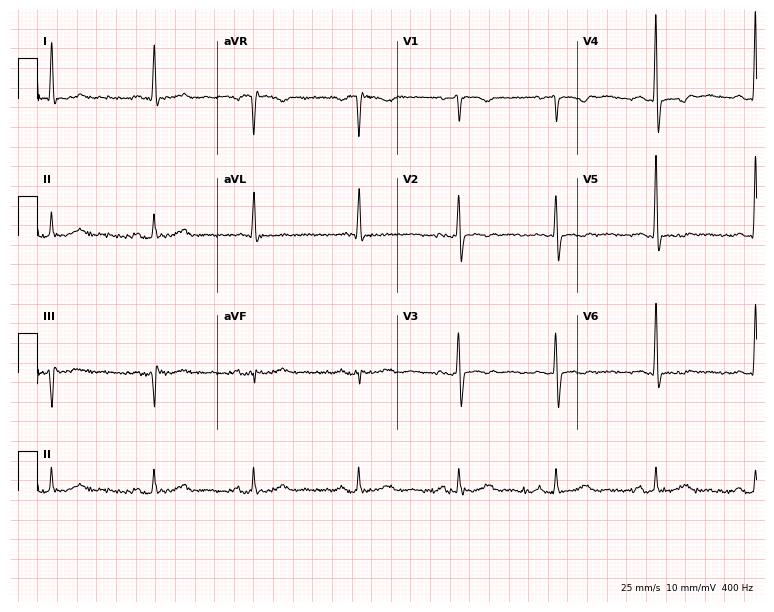
12-lead ECG from a woman, 68 years old. Screened for six findings — first-degree AV block, right bundle branch block (RBBB), left bundle branch block (LBBB), sinus bradycardia, atrial fibrillation (AF), sinus tachycardia — none is recorded. Only these six findings were labelled.